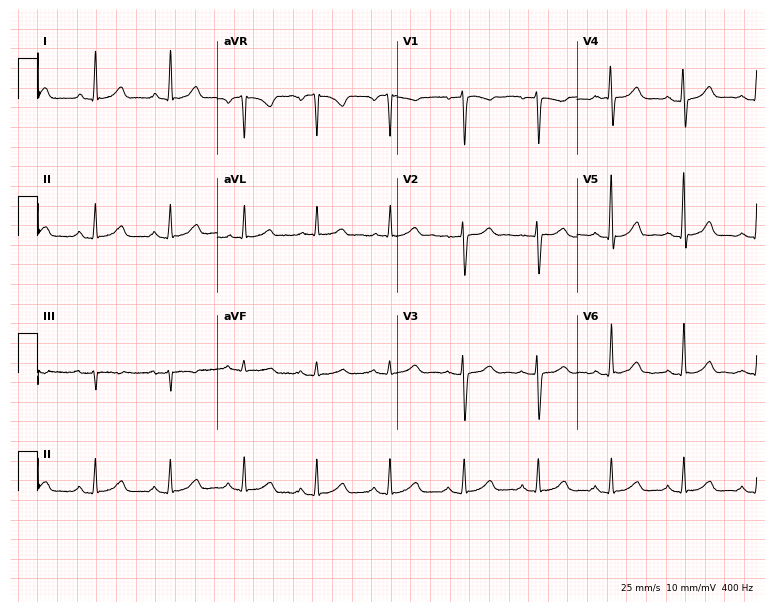
ECG — a 64-year-old female. Labelled as a normal ECG.